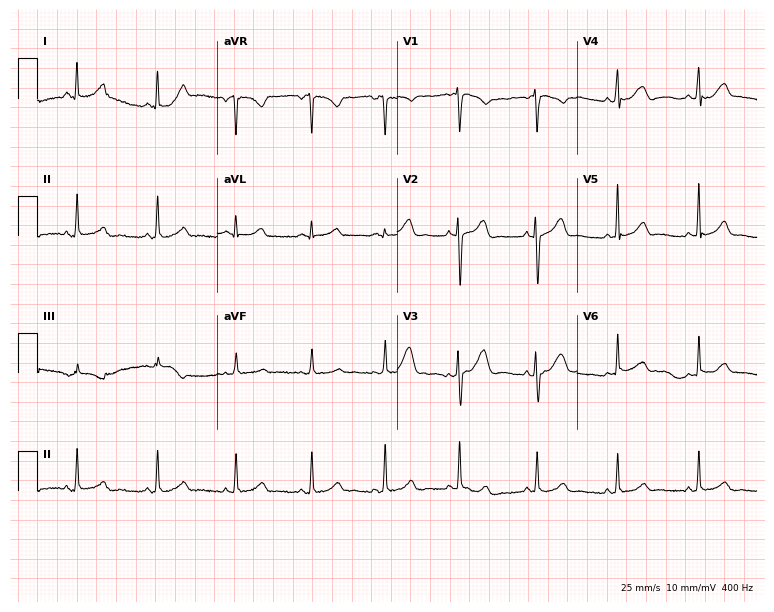
12-lead ECG (7.3-second recording at 400 Hz) from a 32-year-old female. Labelled as a normal ECG.